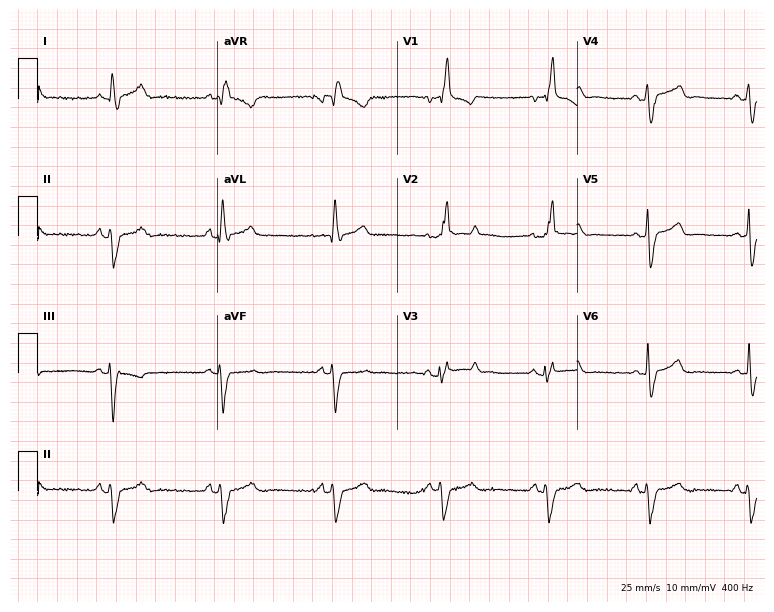
12-lead ECG from a 43-year-old male patient (7.3-second recording at 400 Hz). Shows right bundle branch block (RBBB).